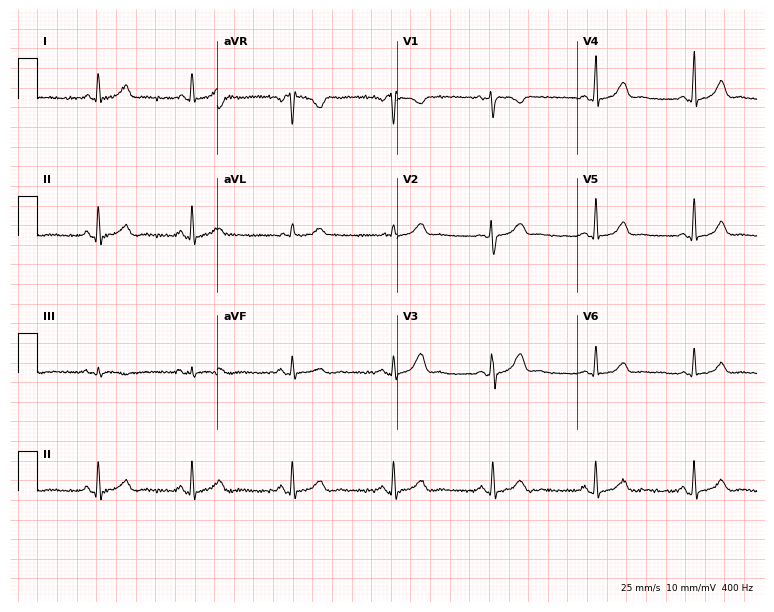
12-lead ECG from a woman, 29 years old (7.3-second recording at 400 Hz). Recorded interpretation: within normal limits.